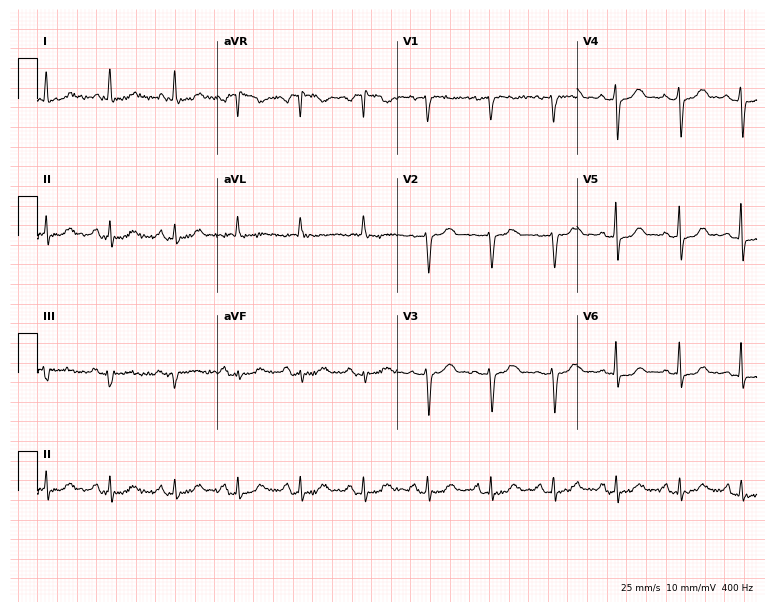
Standard 12-lead ECG recorded from a 53-year-old woman. Read as a normal ECG.